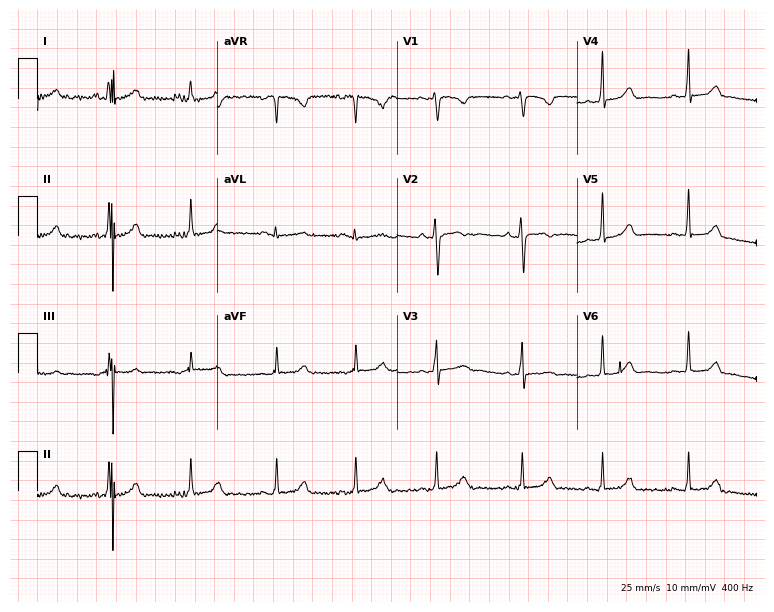
Resting 12-lead electrocardiogram. Patient: a female, 18 years old. Read as a normal ECG.